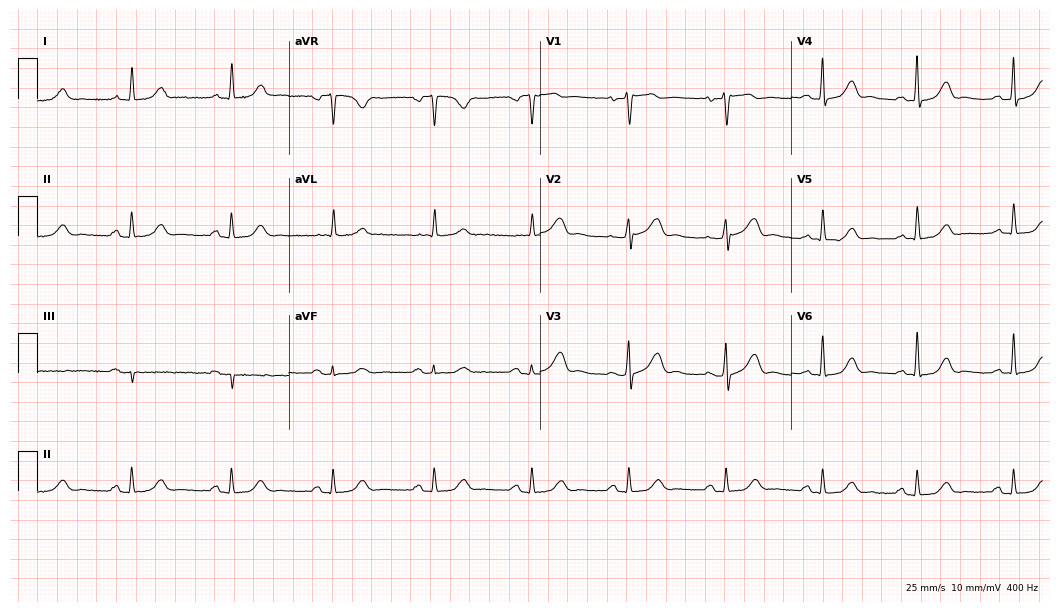
ECG — a 61-year-old female patient. Labelled as a normal ECG.